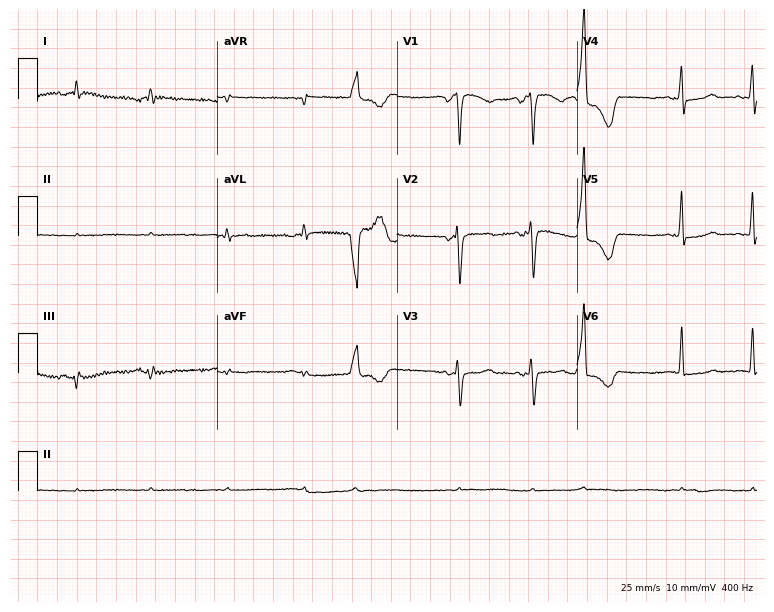
12-lead ECG from a female patient, 58 years old. Screened for six findings — first-degree AV block, right bundle branch block, left bundle branch block, sinus bradycardia, atrial fibrillation, sinus tachycardia — none is recorded. Only these six findings were labelled.